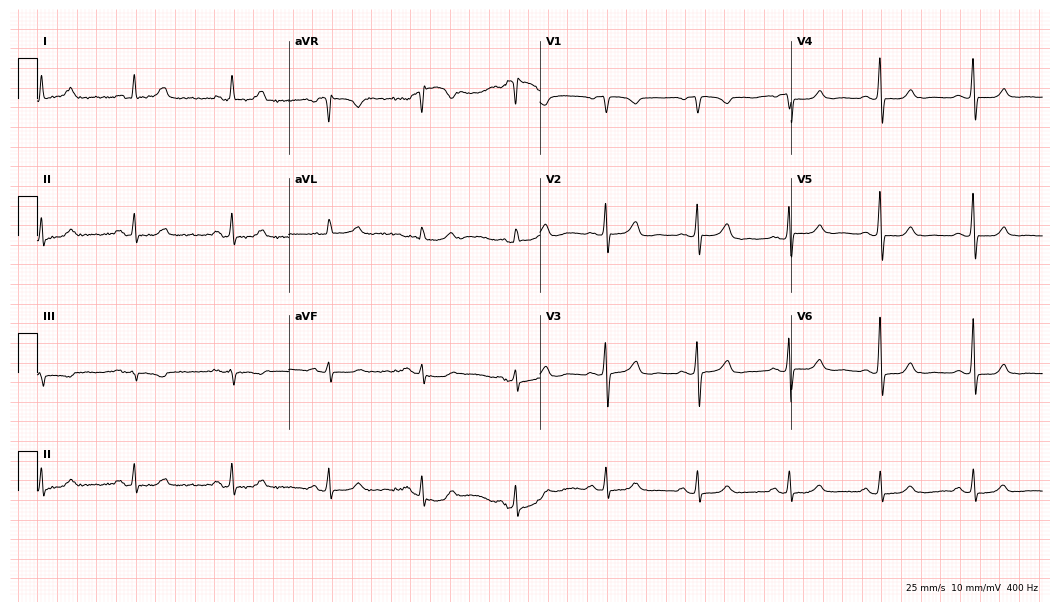
12-lead ECG from a 70-year-old woman. Recorded interpretation: within normal limits.